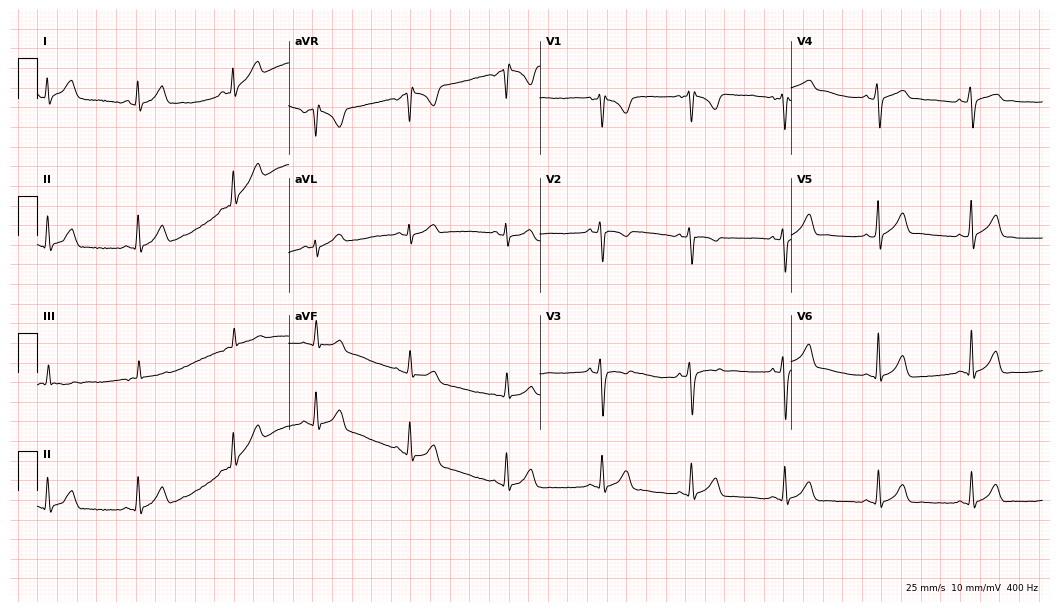
Electrocardiogram, a 17-year-old female patient. Of the six screened findings (first-degree AV block, right bundle branch block, left bundle branch block, sinus bradycardia, atrial fibrillation, sinus tachycardia), none is recorded.